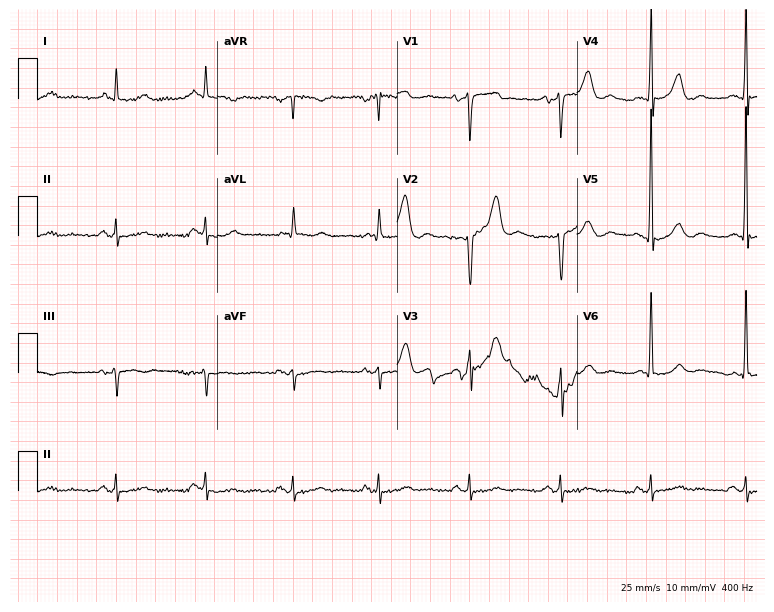
12-lead ECG (7.3-second recording at 400 Hz) from a 32-year-old male patient. Screened for six findings — first-degree AV block, right bundle branch block (RBBB), left bundle branch block (LBBB), sinus bradycardia, atrial fibrillation (AF), sinus tachycardia — none is recorded.